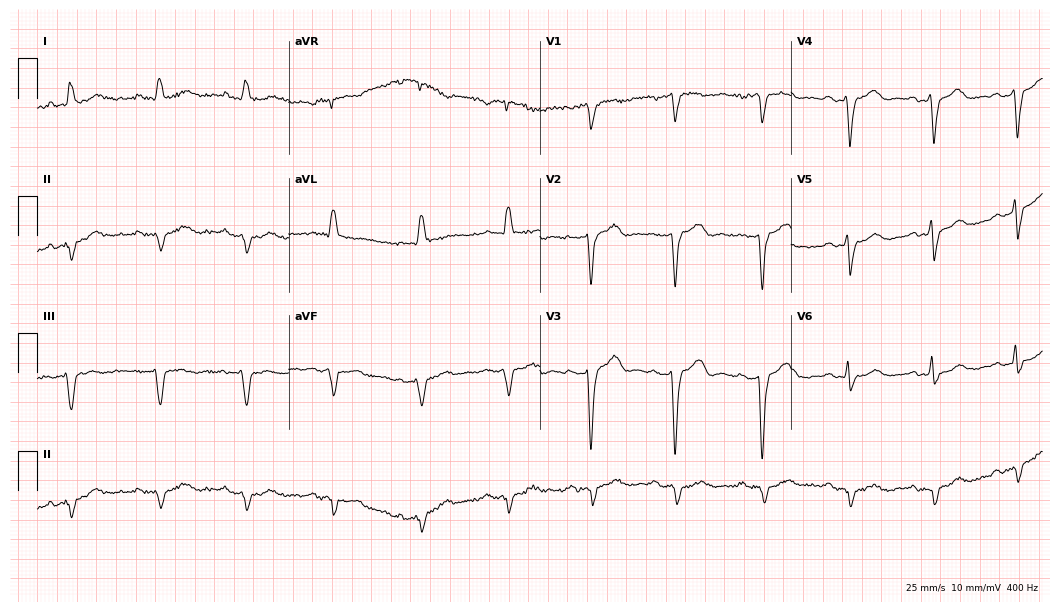
Electrocardiogram, a male patient, 68 years old. Of the six screened findings (first-degree AV block, right bundle branch block, left bundle branch block, sinus bradycardia, atrial fibrillation, sinus tachycardia), none is recorded.